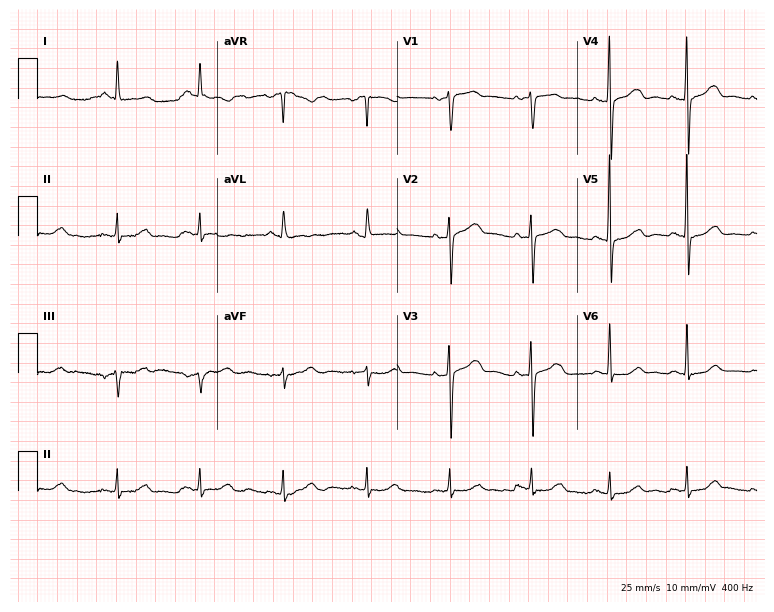
12-lead ECG from a woman, 73 years old. No first-degree AV block, right bundle branch block (RBBB), left bundle branch block (LBBB), sinus bradycardia, atrial fibrillation (AF) or sinus tachycardia recorded for this tracing. Other findings, if any, are not listed.